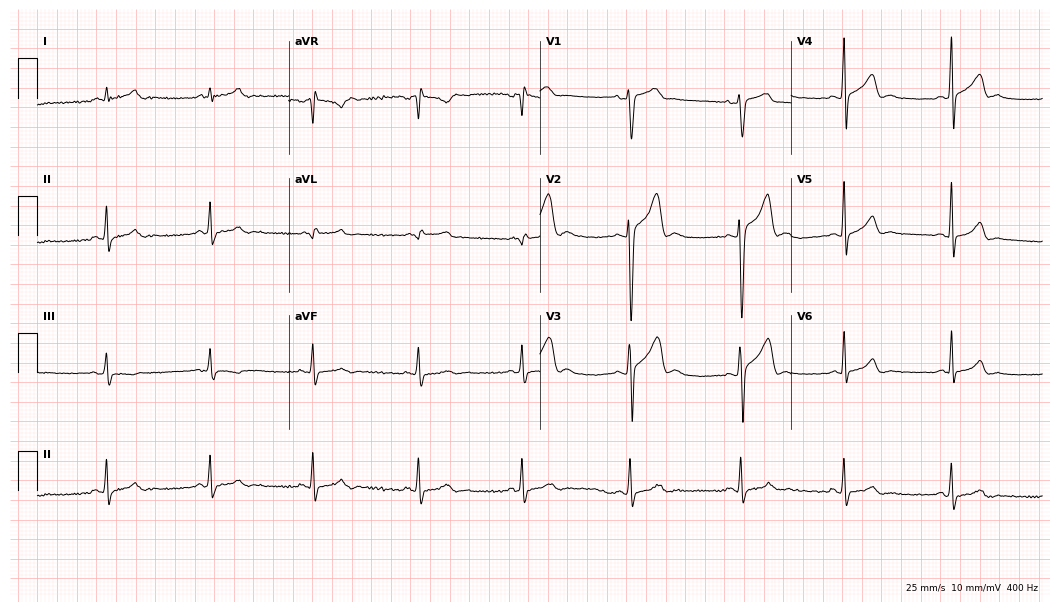
12-lead ECG from a 33-year-old male patient (10.2-second recording at 400 Hz). Recorded interpretation: within normal limits.